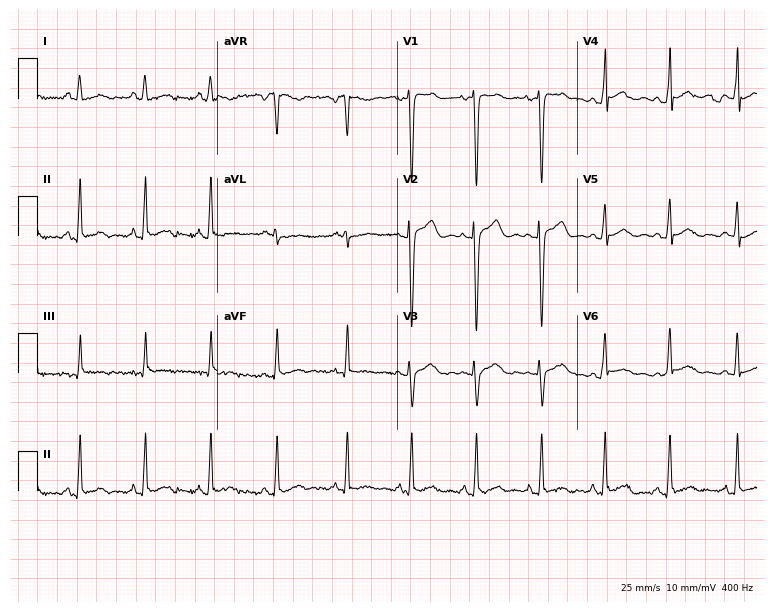
Electrocardiogram, a female patient, 25 years old. Overall reading on record: normal ECG.